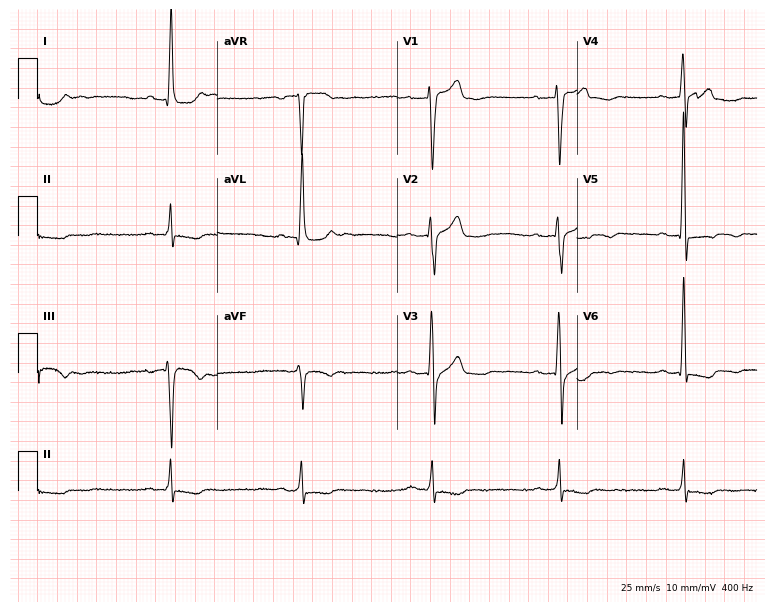
ECG (7.3-second recording at 400 Hz) — a man, 71 years old. Findings include sinus bradycardia (a sinus rate of 50 beats per minute or less).